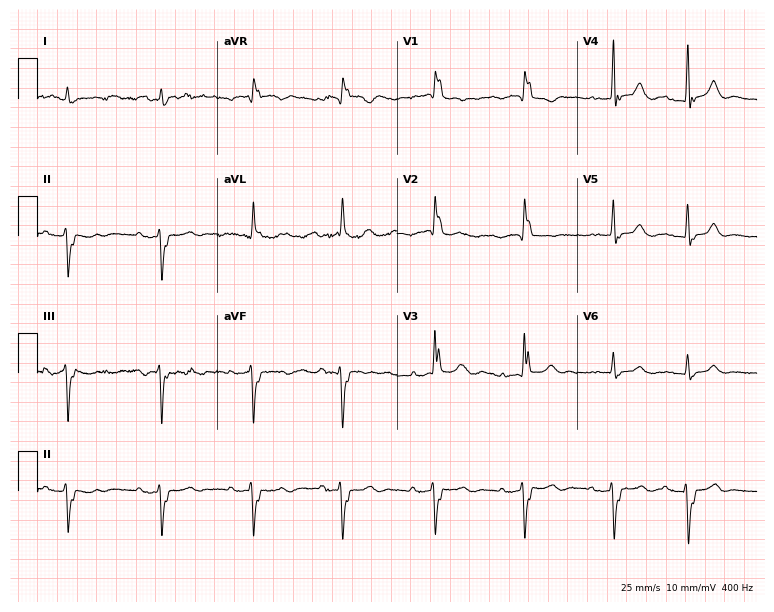
12-lead ECG from a man, 85 years old. Findings include right bundle branch block.